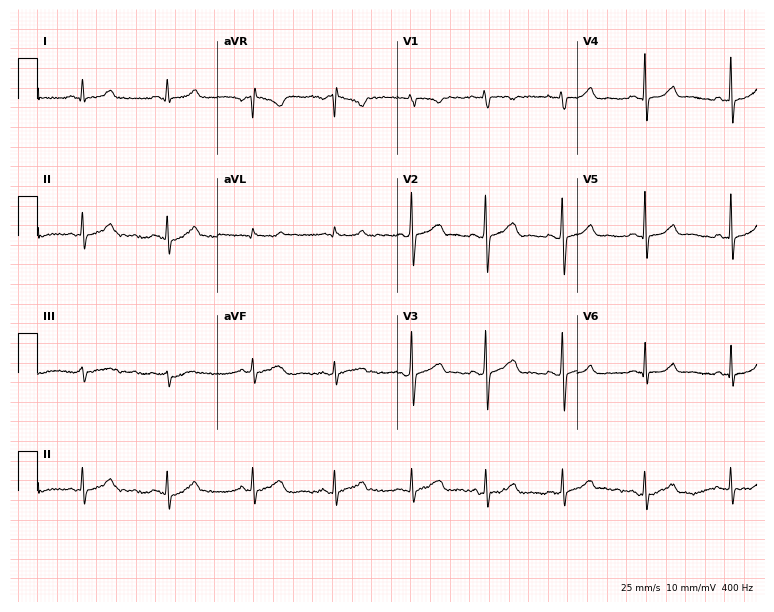
Electrocardiogram (7.3-second recording at 400 Hz), a 26-year-old woman. Overall reading on record: normal ECG.